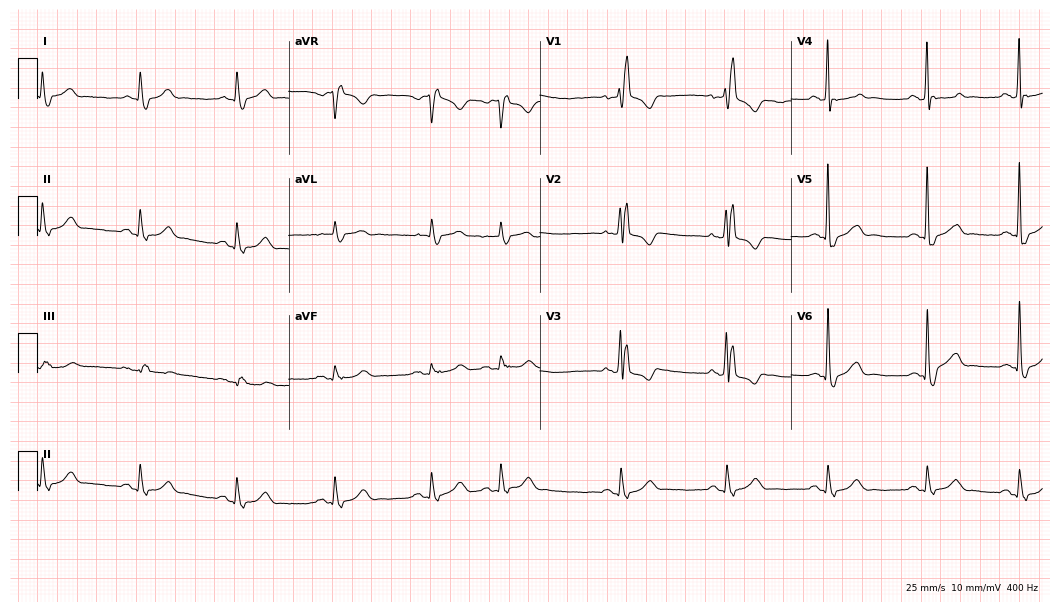
ECG (10.2-second recording at 400 Hz) — a man, 84 years old. Screened for six findings — first-degree AV block, right bundle branch block (RBBB), left bundle branch block (LBBB), sinus bradycardia, atrial fibrillation (AF), sinus tachycardia — none is recorded.